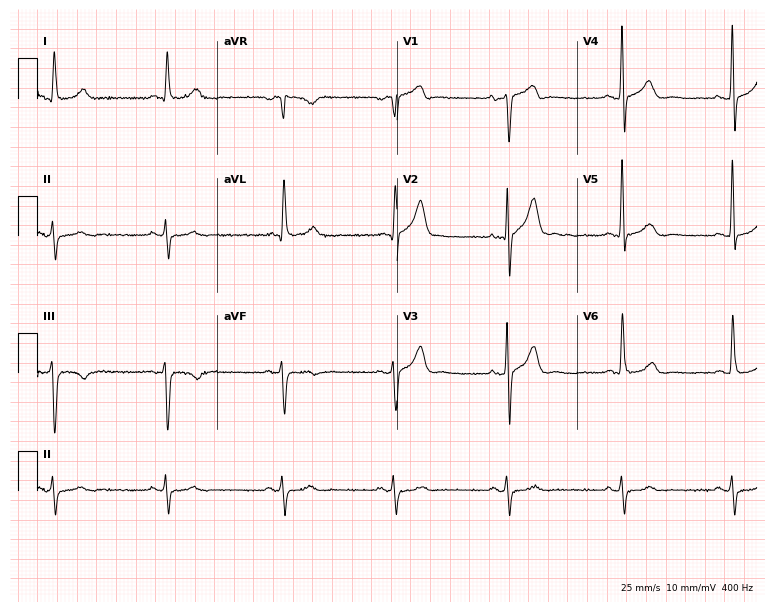
Electrocardiogram (7.3-second recording at 400 Hz), a man, 72 years old. Of the six screened findings (first-degree AV block, right bundle branch block (RBBB), left bundle branch block (LBBB), sinus bradycardia, atrial fibrillation (AF), sinus tachycardia), none is recorded. Only these six findings were labelled.